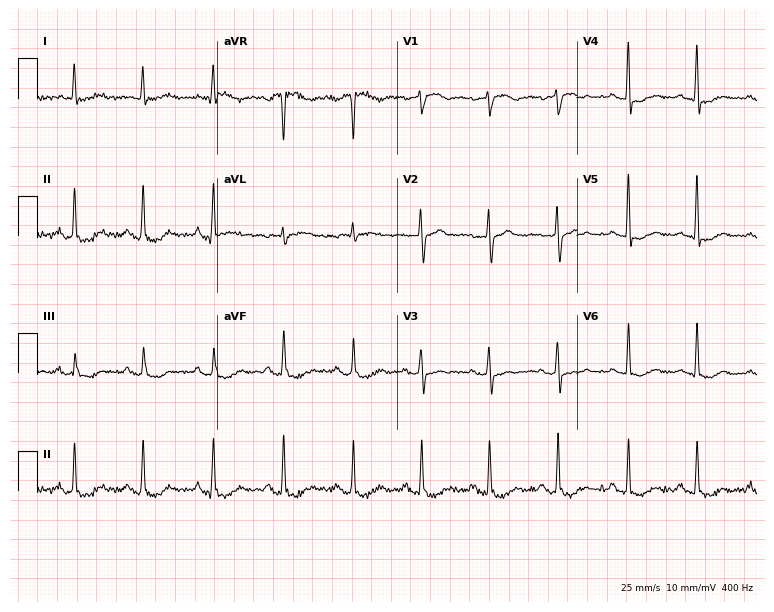
12-lead ECG from an 82-year-old woman. No first-degree AV block, right bundle branch block (RBBB), left bundle branch block (LBBB), sinus bradycardia, atrial fibrillation (AF) or sinus tachycardia recorded for this tracing.